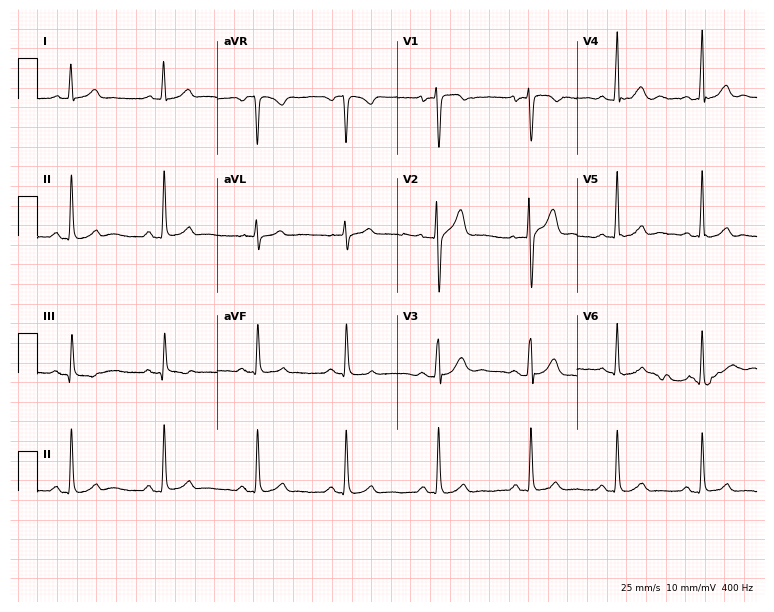
Standard 12-lead ECG recorded from a 27-year-old man. Read as a normal ECG.